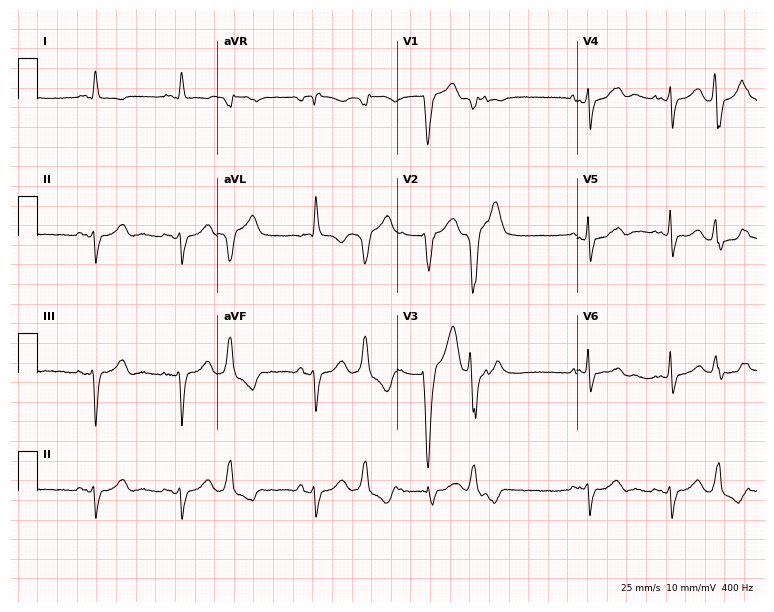
Electrocardiogram, a man, 82 years old. Of the six screened findings (first-degree AV block, right bundle branch block (RBBB), left bundle branch block (LBBB), sinus bradycardia, atrial fibrillation (AF), sinus tachycardia), none is recorded.